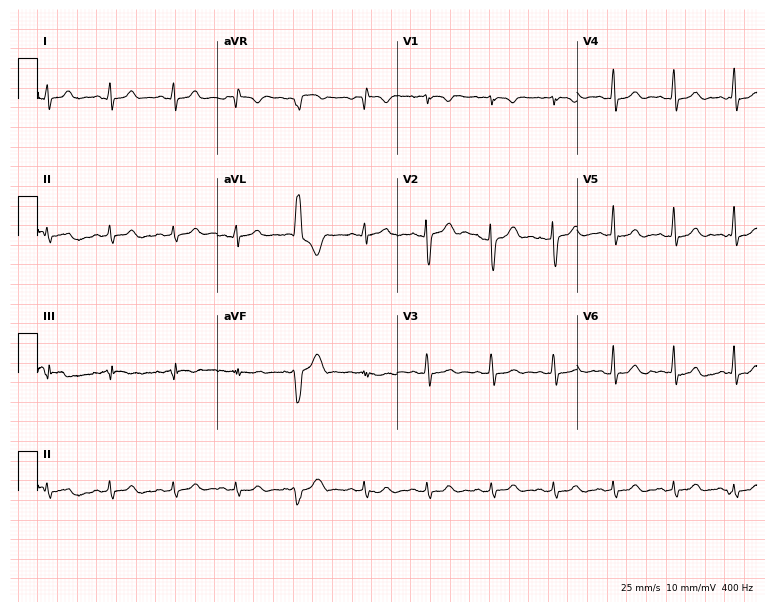
12-lead ECG from a female patient, 20 years old. Screened for six findings — first-degree AV block, right bundle branch block, left bundle branch block, sinus bradycardia, atrial fibrillation, sinus tachycardia — none is recorded.